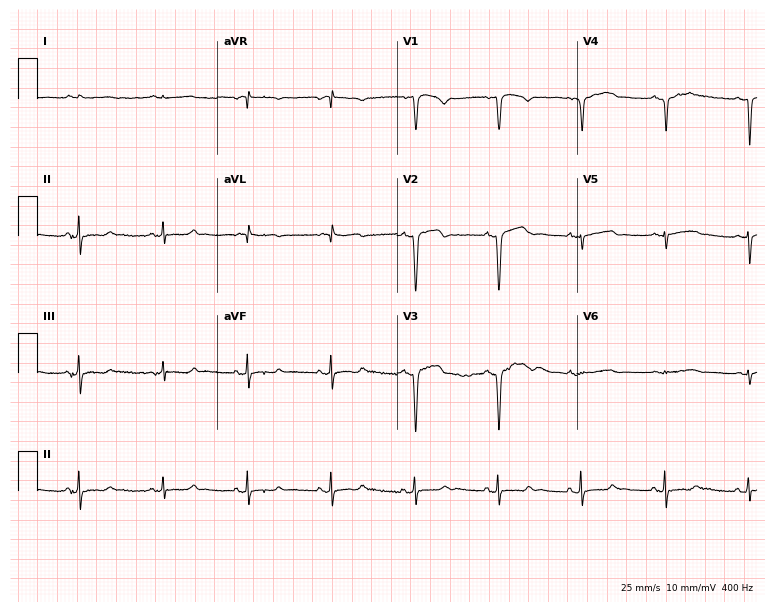
12-lead ECG from a male, 62 years old (7.3-second recording at 400 Hz). No first-degree AV block, right bundle branch block, left bundle branch block, sinus bradycardia, atrial fibrillation or sinus tachycardia recorded for this tracing.